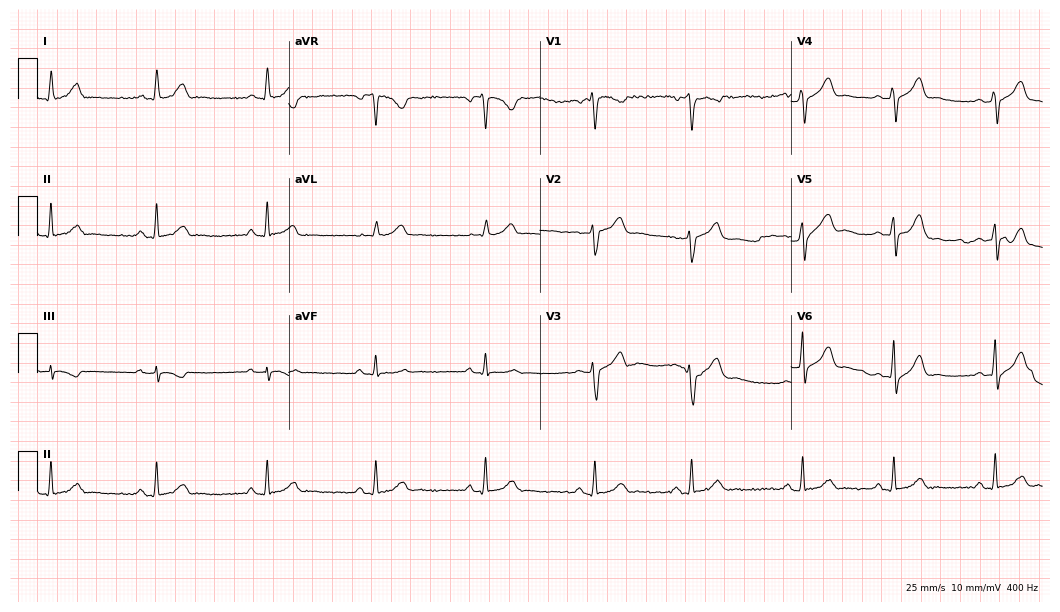
Electrocardiogram (10.2-second recording at 400 Hz), a female, 35 years old. Overall reading on record: normal ECG.